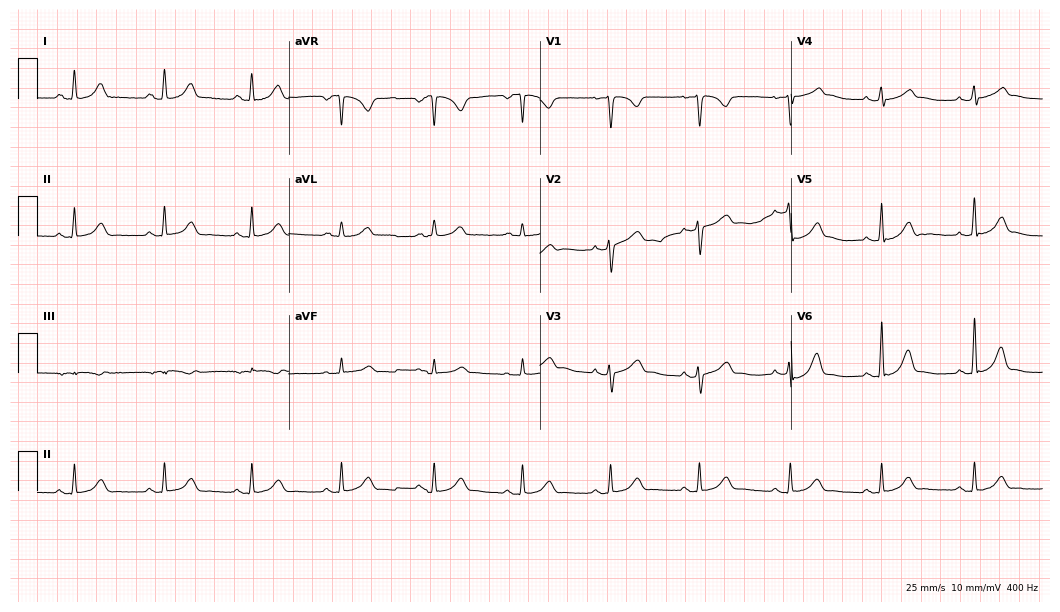
Resting 12-lead electrocardiogram. Patient: a 28-year-old female. Read as a normal ECG.